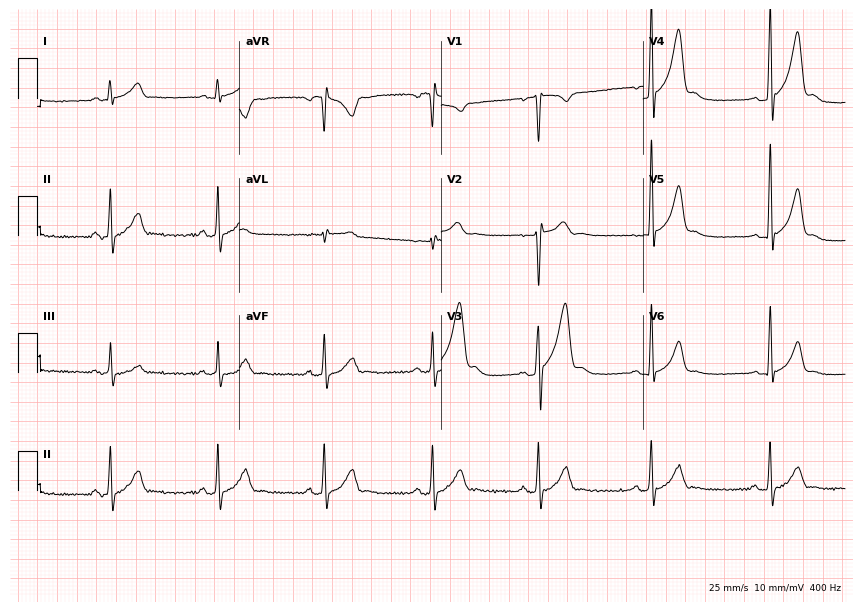
12-lead ECG (8.2-second recording at 400 Hz) from a male, 25 years old. Labelled as a normal ECG.